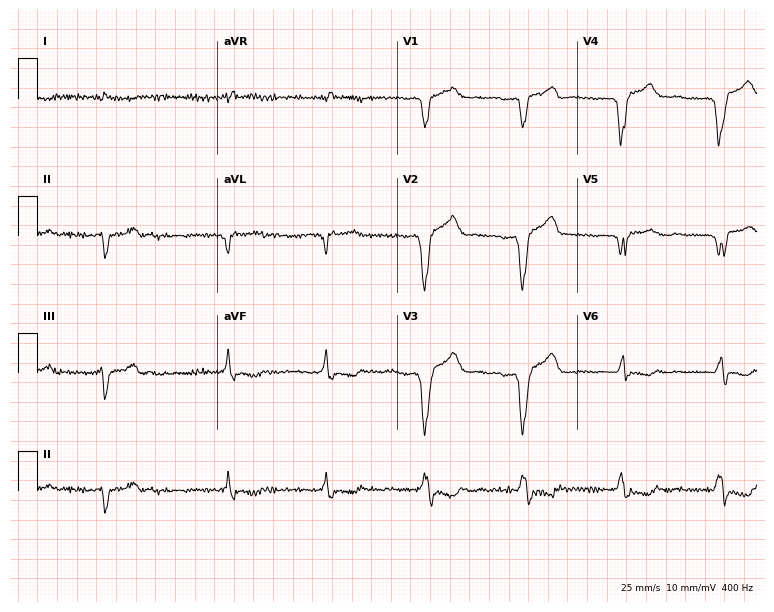
ECG — a male, 71 years old. Screened for six findings — first-degree AV block, right bundle branch block, left bundle branch block, sinus bradycardia, atrial fibrillation, sinus tachycardia — none is recorded. Findings outside these six are not listed.